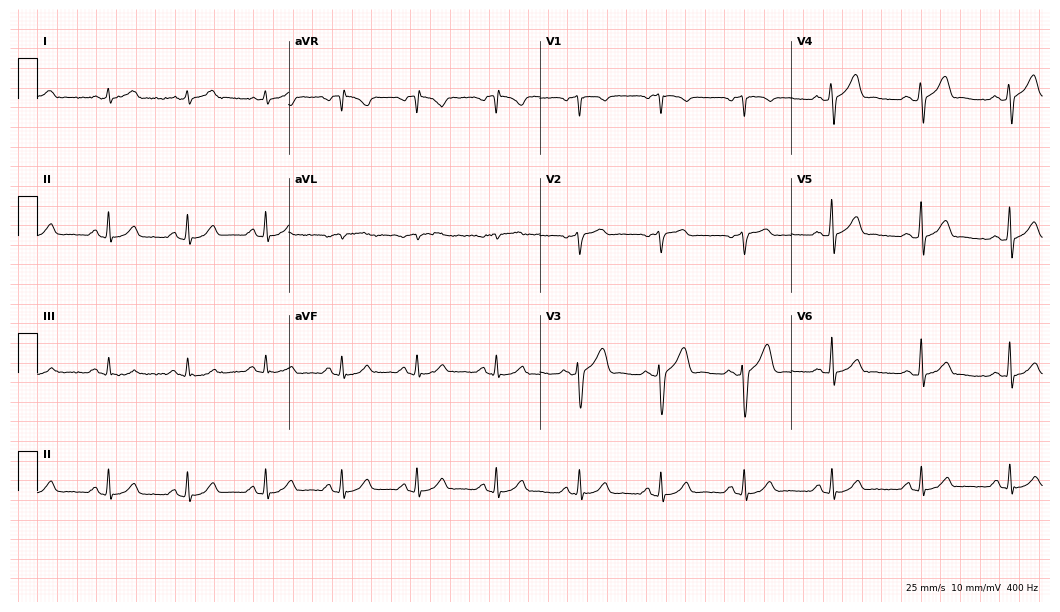
12-lead ECG from a 48-year-old male patient. Labelled as a normal ECG.